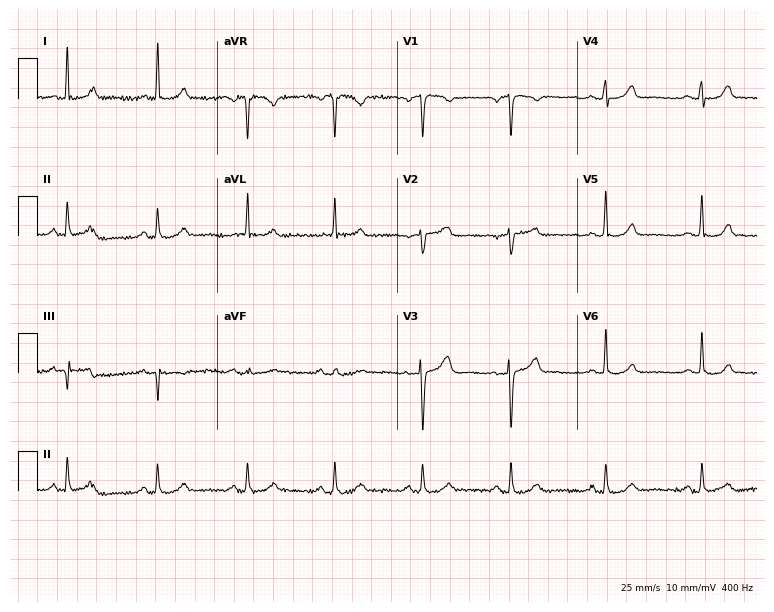
12-lead ECG (7.3-second recording at 400 Hz) from a female patient, 65 years old. Labelled as a normal ECG.